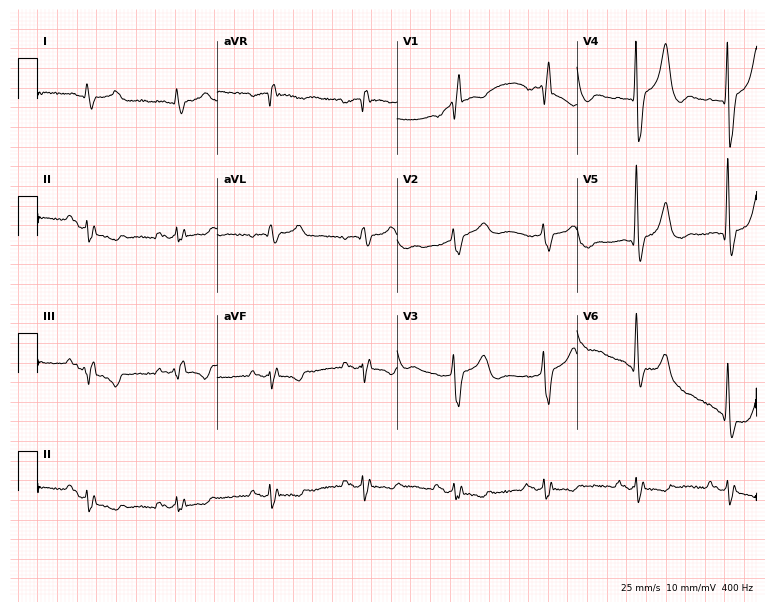
ECG — a 72-year-old male patient. Findings include right bundle branch block.